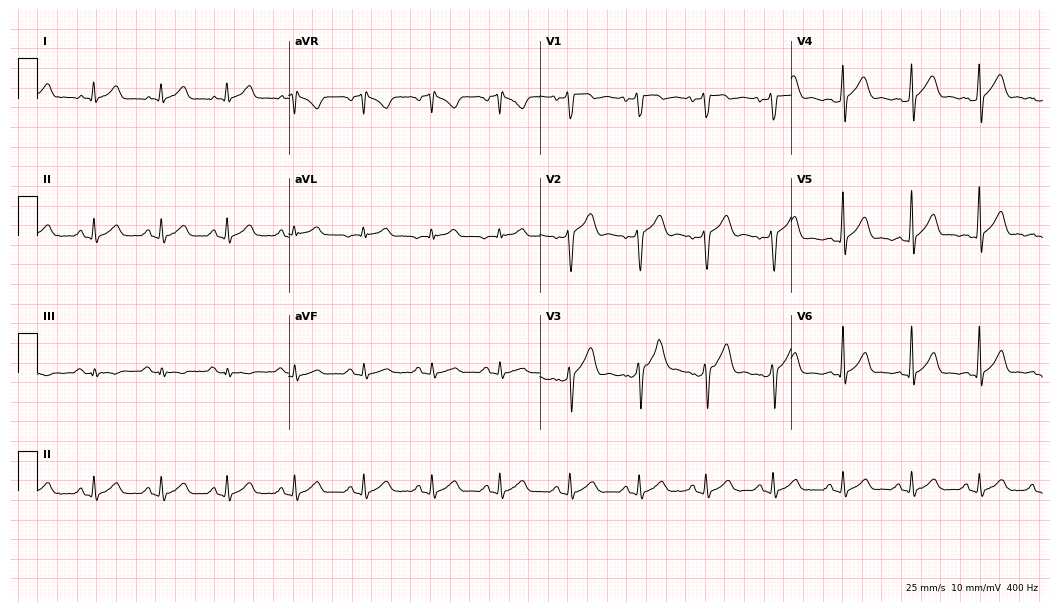
12-lead ECG from a man, 22 years old. Screened for six findings — first-degree AV block, right bundle branch block, left bundle branch block, sinus bradycardia, atrial fibrillation, sinus tachycardia — none is recorded.